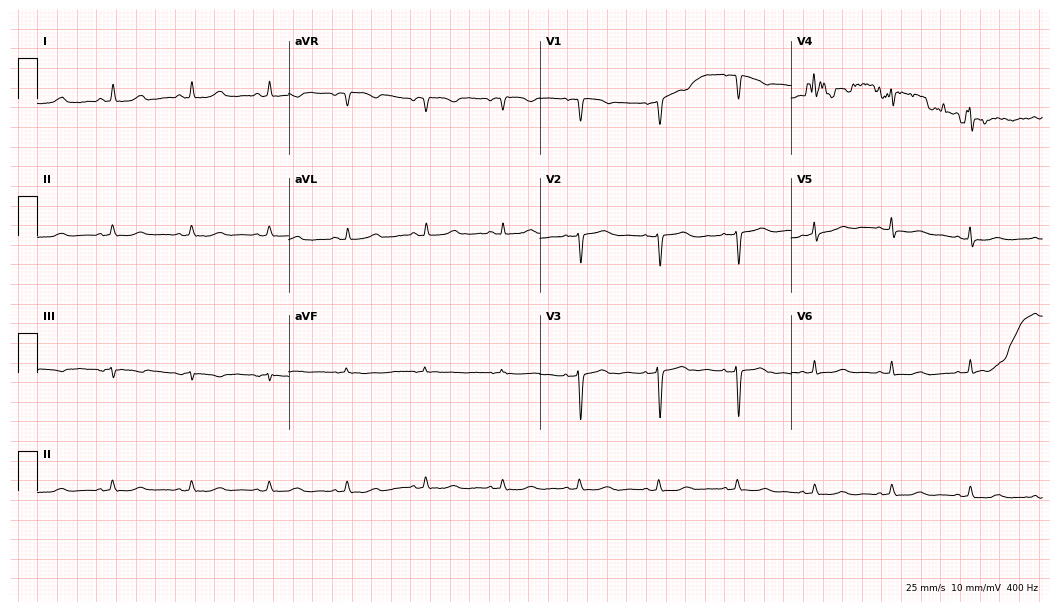
12-lead ECG from a female, 39 years old (10.2-second recording at 400 Hz). No first-degree AV block, right bundle branch block (RBBB), left bundle branch block (LBBB), sinus bradycardia, atrial fibrillation (AF) or sinus tachycardia recorded for this tracing.